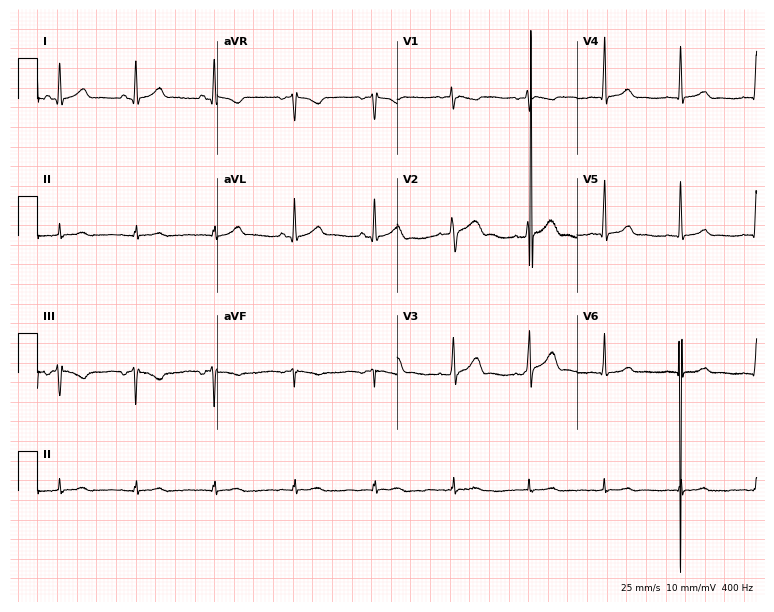
12-lead ECG from an 18-year-old female patient (7.3-second recording at 400 Hz). No first-degree AV block, right bundle branch block, left bundle branch block, sinus bradycardia, atrial fibrillation or sinus tachycardia recorded for this tracing. Findings outside these six are not listed.